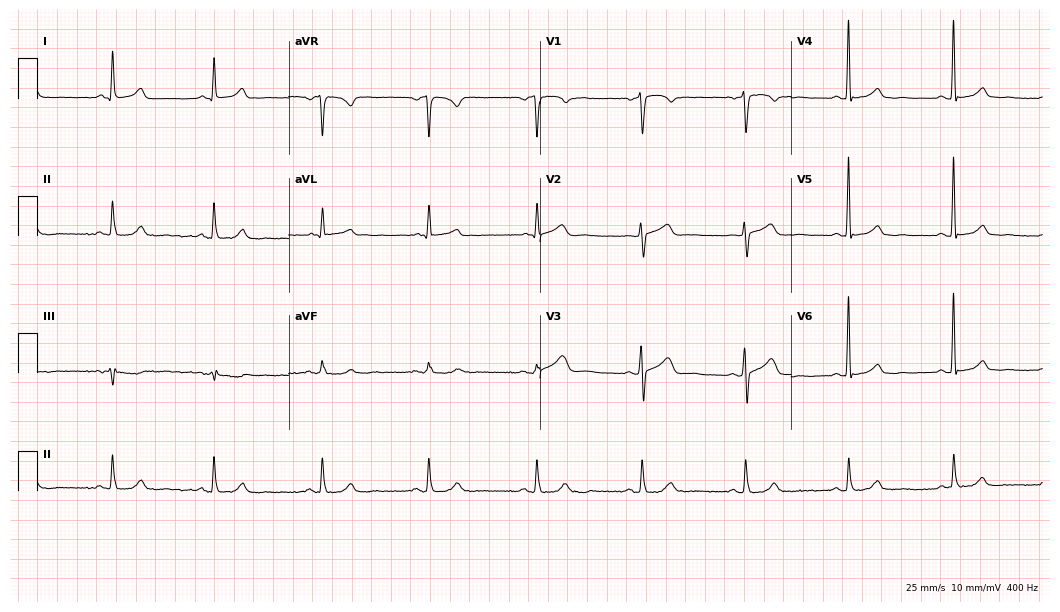
Electrocardiogram, a 61-year-old female patient. Overall reading on record: normal ECG.